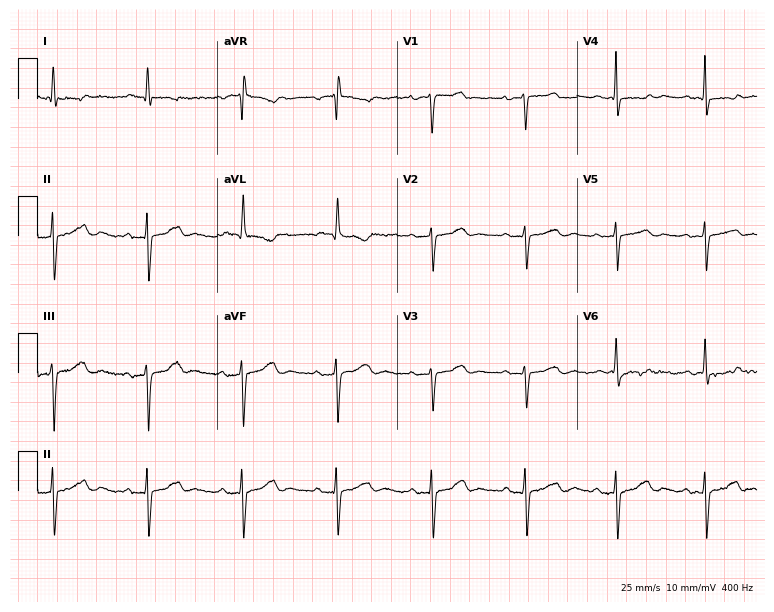
12-lead ECG from a 71-year-old female patient. No first-degree AV block, right bundle branch block, left bundle branch block, sinus bradycardia, atrial fibrillation or sinus tachycardia recorded for this tracing.